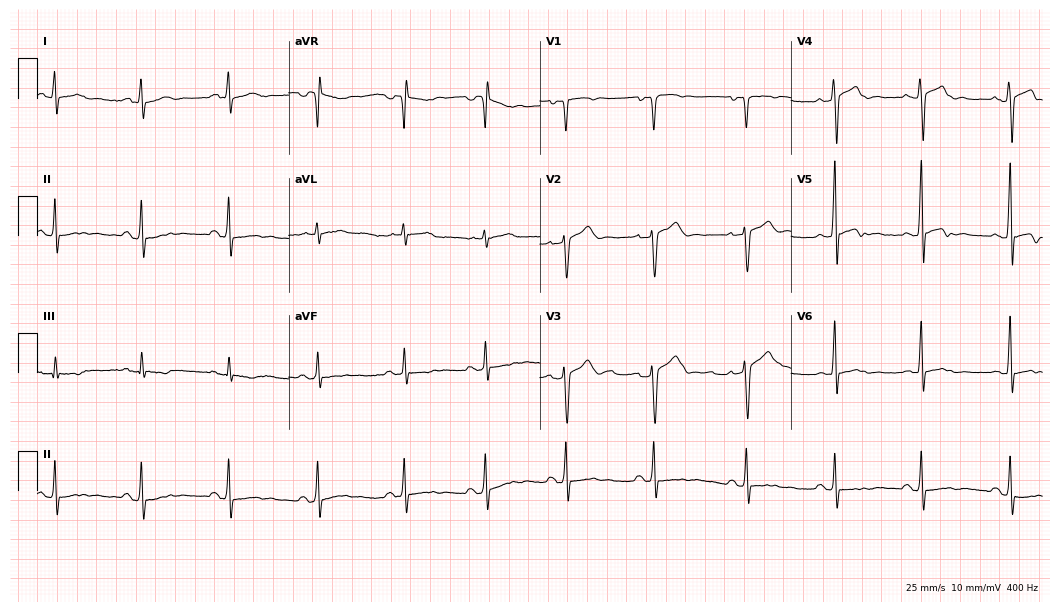
Electrocardiogram (10.2-second recording at 400 Hz), a male patient, 28 years old. Overall reading on record: normal ECG.